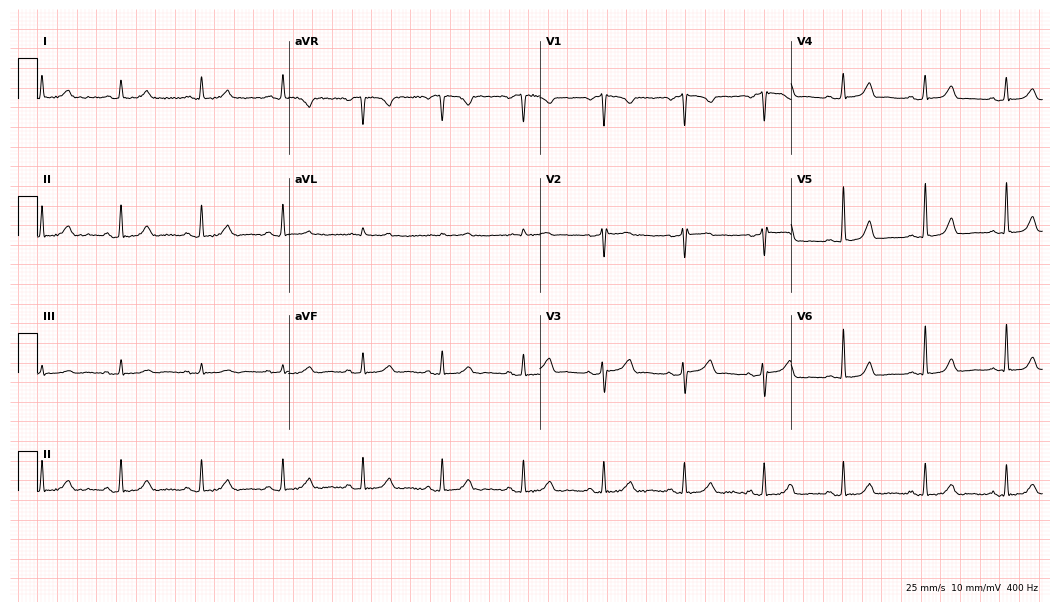
Electrocardiogram, a woman, 51 years old. Of the six screened findings (first-degree AV block, right bundle branch block (RBBB), left bundle branch block (LBBB), sinus bradycardia, atrial fibrillation (AF), sinus tachycardia), none is recorded.